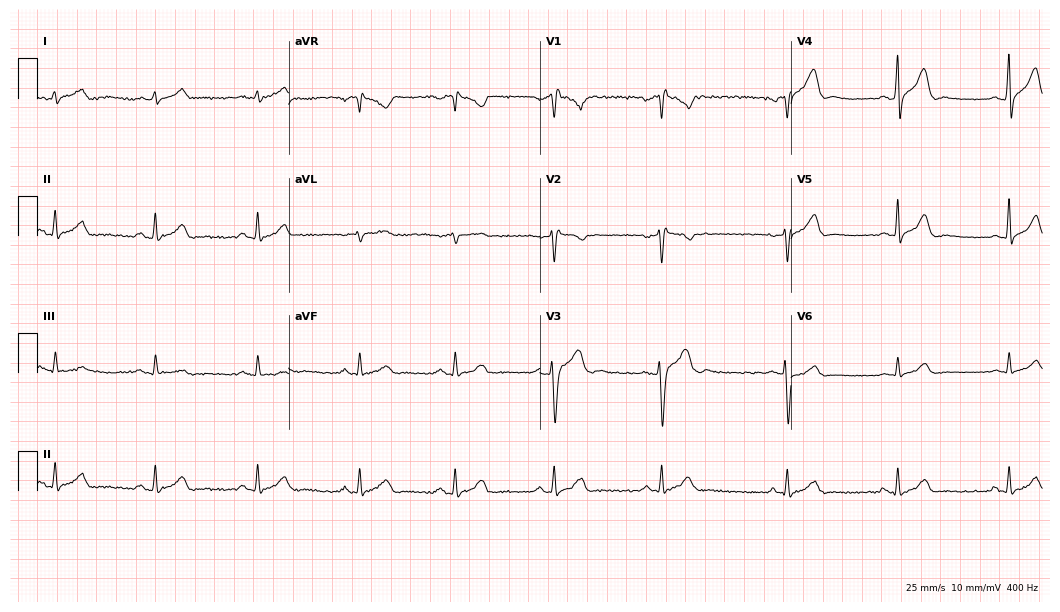
12-lead ECG from a male, 37 years old. Screened for six findings — first-degree AV block, right bundle branch block, left bundle branch block, sinus bradycardia, atrial fibrillation, sinus tachycardia — none is recorded.